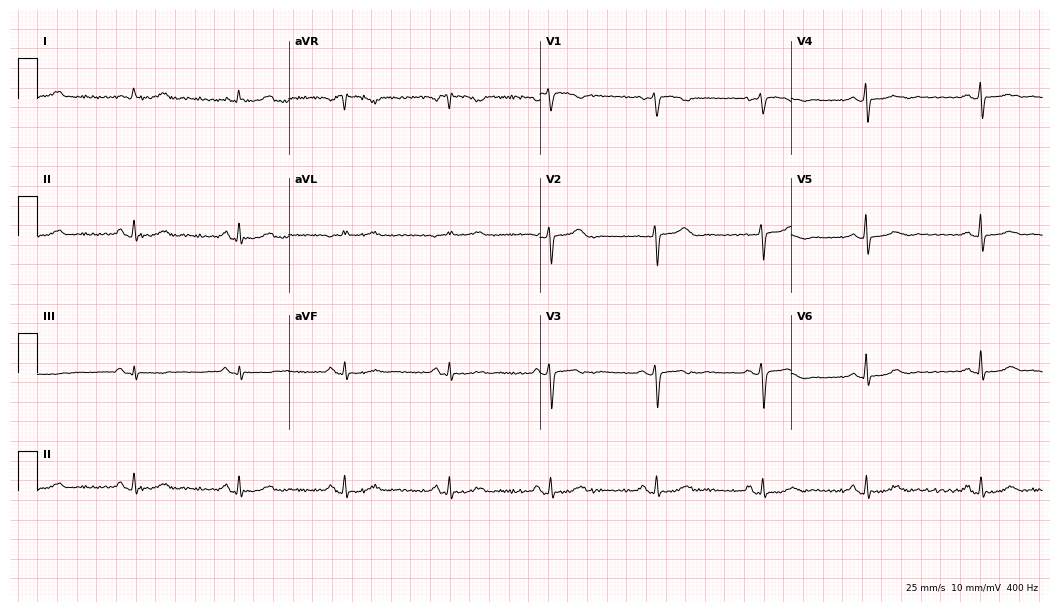
12-lead ECG (10.2-second recording at 400 Hz) from a 65-year-old female patient. Findings include sinus bradycardia (a sinus rate of 50 beats per minute or less).